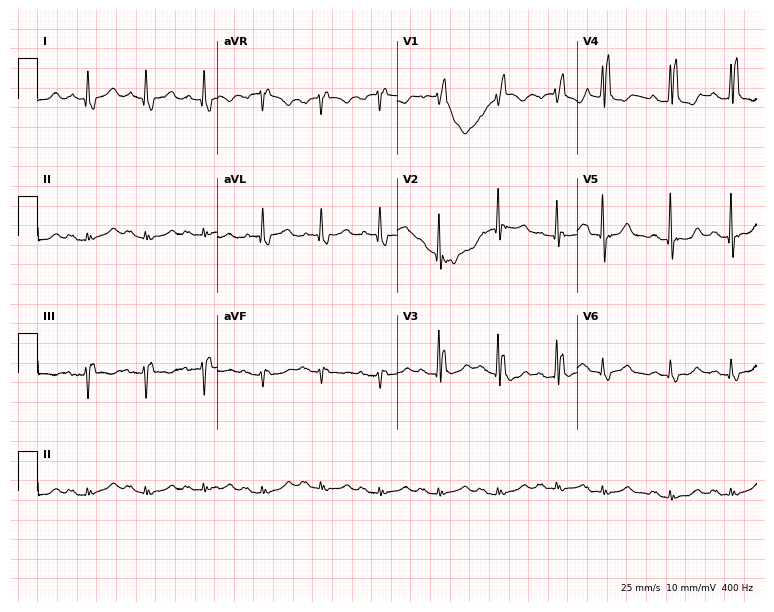
ECG (7.3-second recording at 400 Hz) — a male, 69 years old. Findings include right bundle branch block, sinus tachycardia (a sinus rate of 100 beats per minute or more).